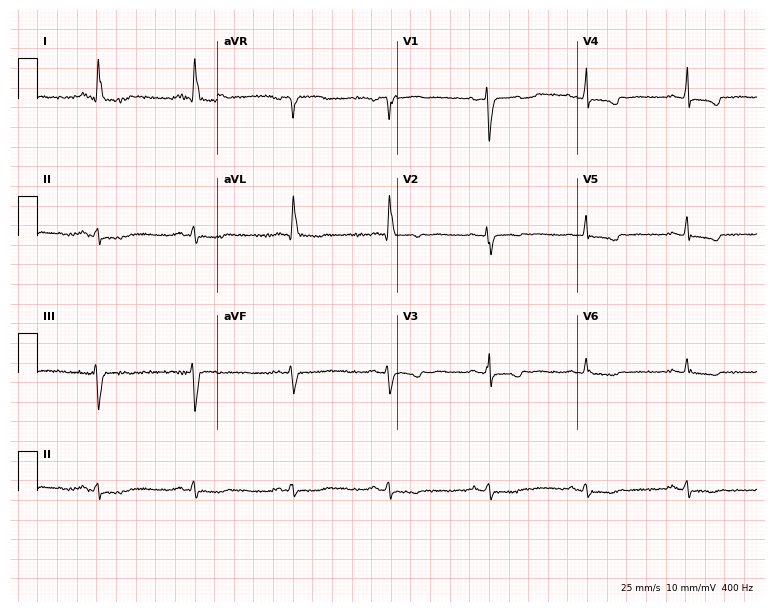
Standard 12-lead ECG recorded from a 78-year-old female (7.3-second recording at 400 Hz). None of these six findings is recorded: first-degree AV block, right bundle branch block, left bundle branch block, sinus bradycardia, atrial fibrillation, sinus tachycardia.